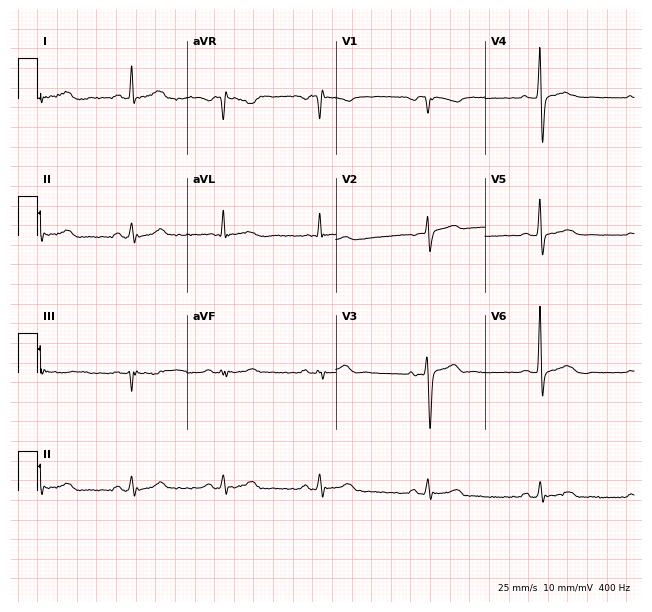
Standard 12-lead ECG recorded from a 53-year-old male patient (6.1-second recording at 400 Hz). None of these six findings is recorded: first-degree AV block, right bundle branch block, left bundle branch block, sinus bradycardia, atrial fibrillation, sinus tachycardia.